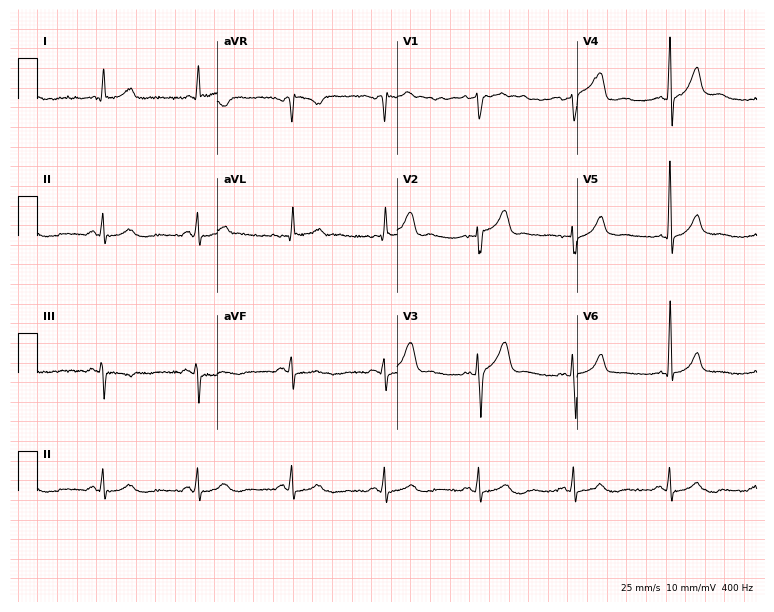
Standard 12-lead ECG recorded from a male, 56 years old (7.3-second recording at 400 Hz). Read as a normal ECG.